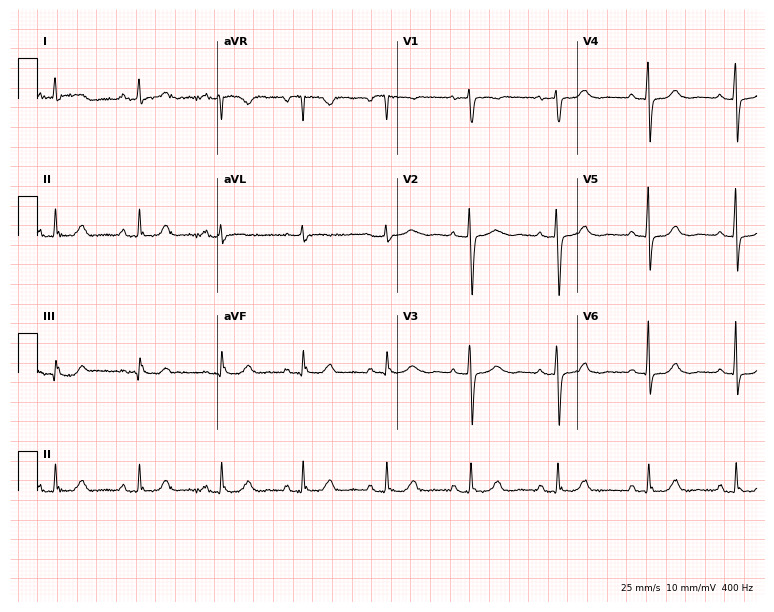
ECG (7.3-second recording at 400 Hz) — a woman, 62 years old. Screened for six findings — first-degree AV block, right bundle branch block, left bundle branch block, sinus bradycardia, atrial fibrillation, sinus tachycardia — none is recorded. Other findings, if any, are not listed.